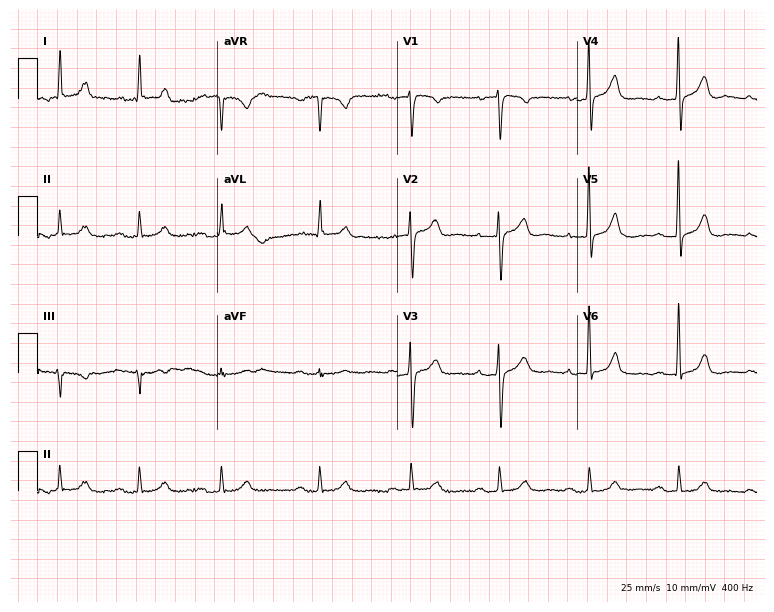
Electrocardiogram, a male, 71 years old. Of the six screened findings (first-degree AV block, right bundle branch block, left bundle branch block, sinus bradycardia, atrial fibrillation, sinus tachycardia), none is recorded.